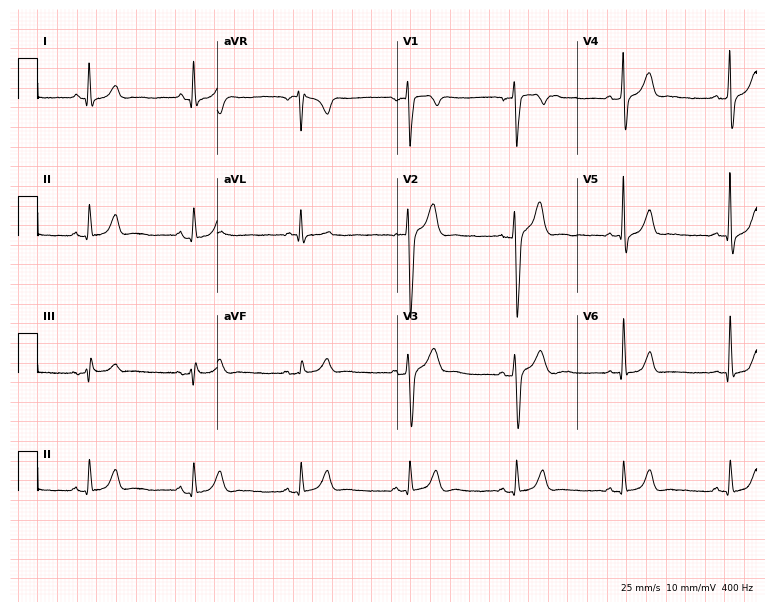
Resting 12-lead electrocardiogram (7.3-second recording at 400 Hz). Patient: a 33-year-old man. Read as a normal ECG.